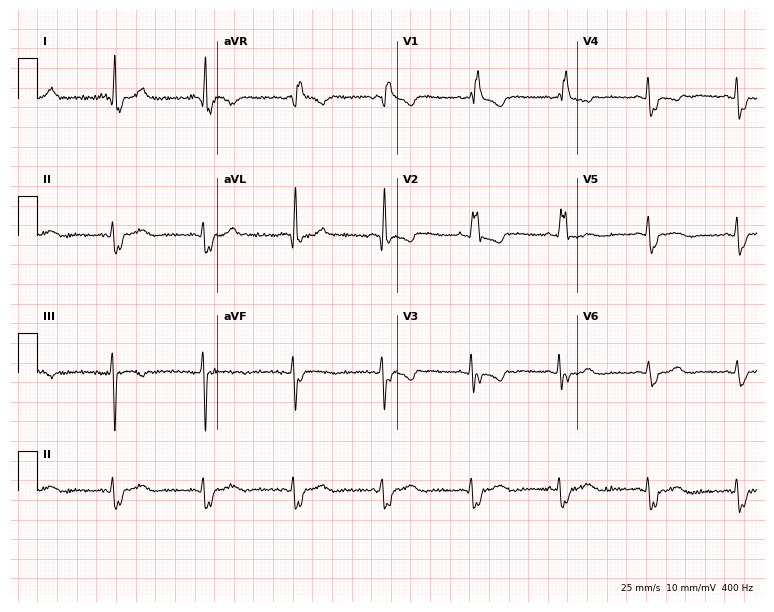
Electrocardiogram (7.3-second recording at 400 Hz), a female, 46 years old. Interpretation includes right bundle branch block.